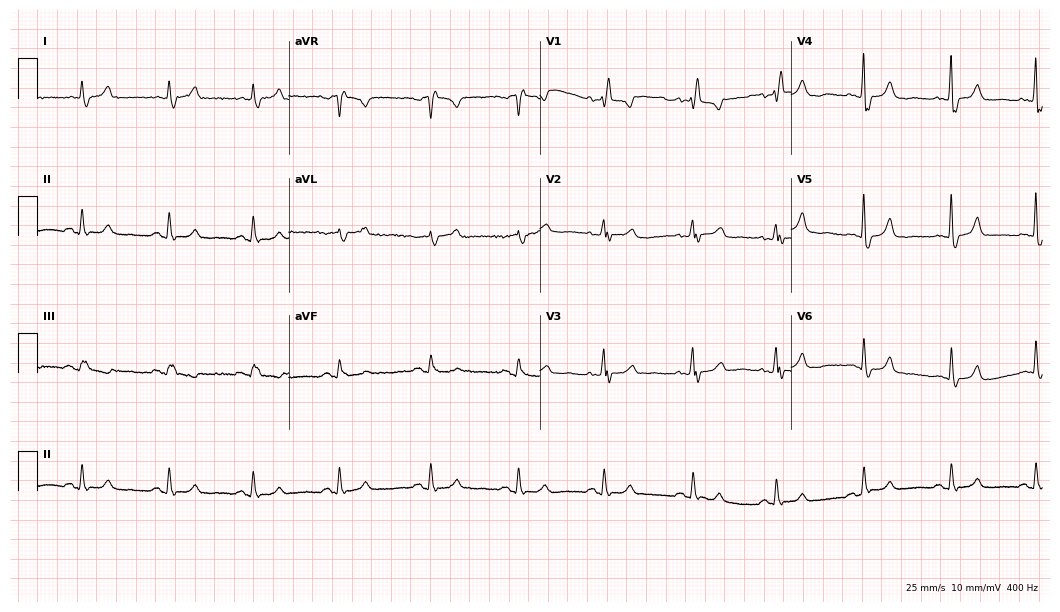
Resting 12-lead electrocardiogram. Patient: a female, 82 years old. The tracing shows right bundle branch block.